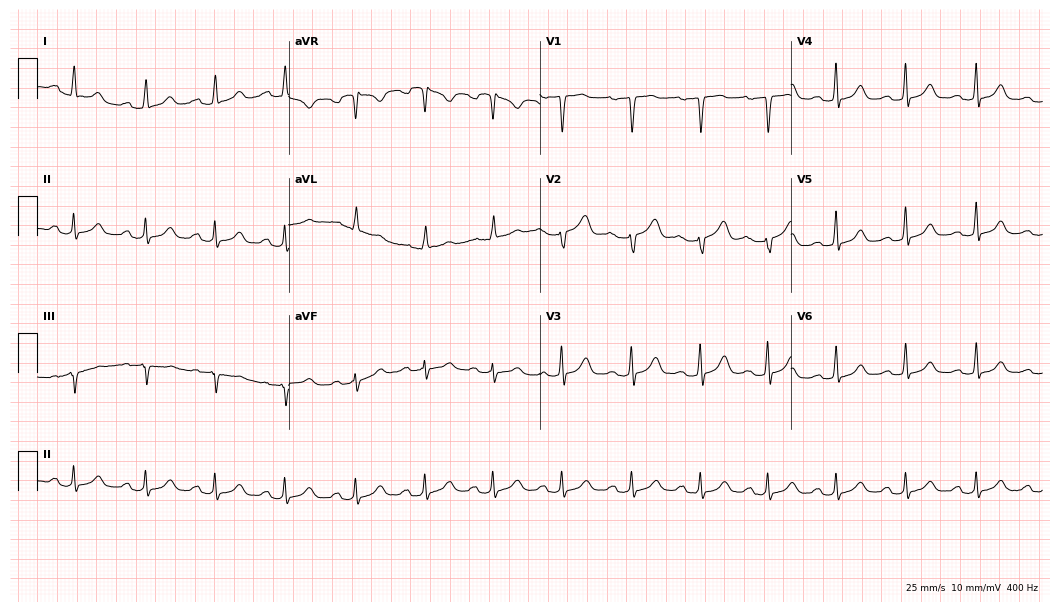
ECG — a 28-year-old female. Findings include first-degree AV block.